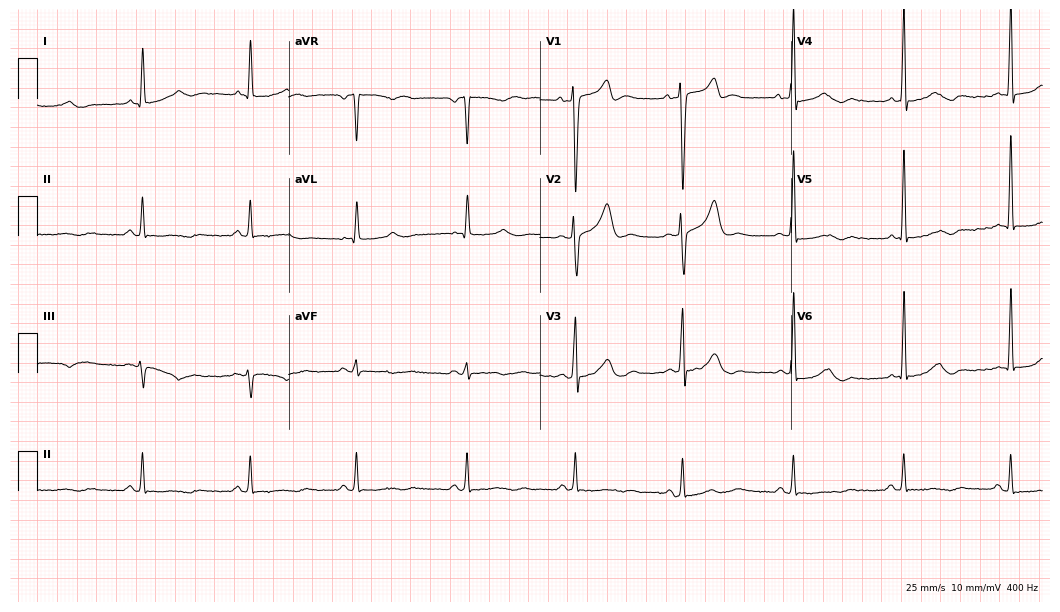
12-lead ECG from a male patient, 78 years old. Labelled as a normal ECG.